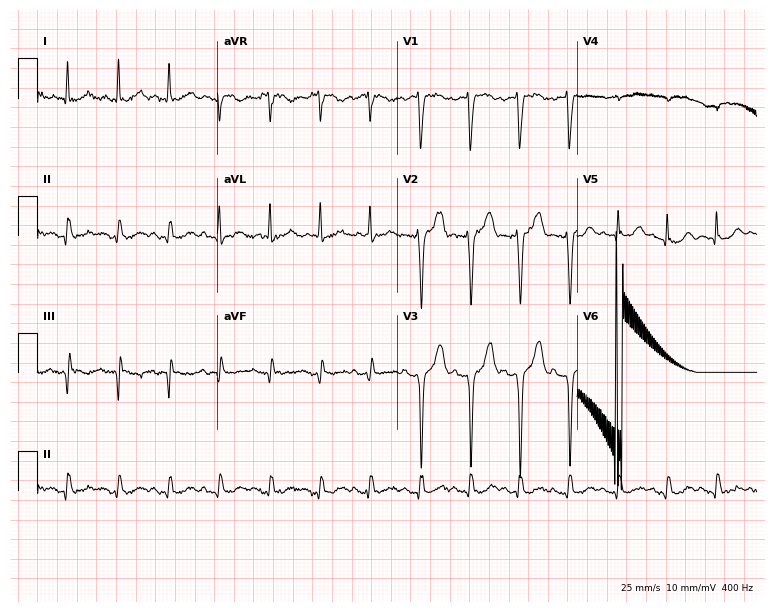
Electrocardiogram, a female patient, 78 years old. Interpretation includes sinus tachycardia (a sinus rate of 100 beats per minute or more).